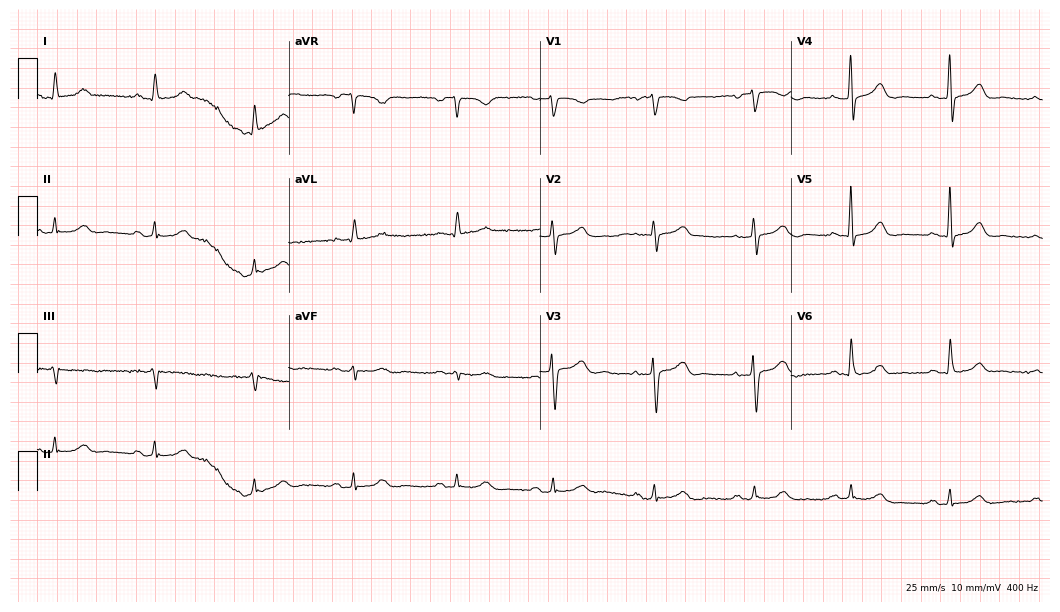
ECG (10.2-second recording at 400 Hz) — a female, 82 years old. Screened for six findings — first-degree AV block, right bundle branch block, left bundle branch block, sinus bradycardia, atrial fibrillation, sinus tachycardia — none is recorded. Findings outside these six are not listed.